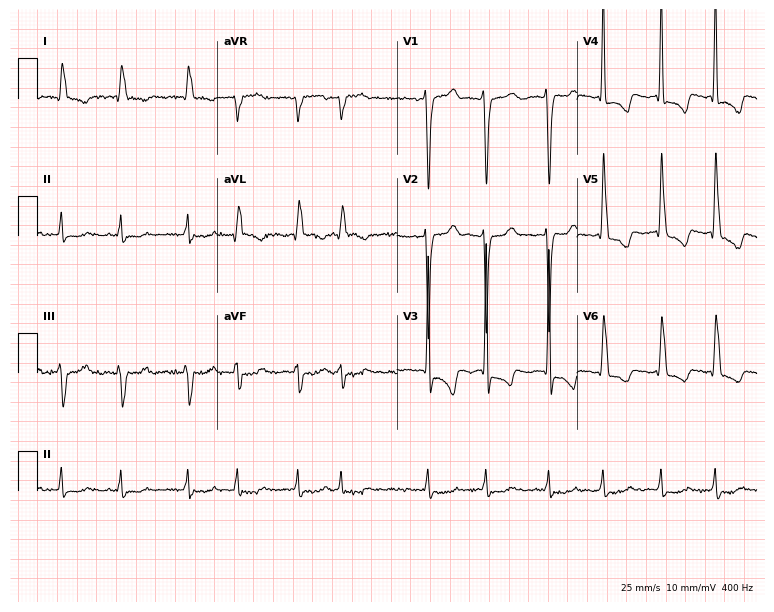
12-lead ECG from a 61-year-old female. Shows atrial fibrillation.